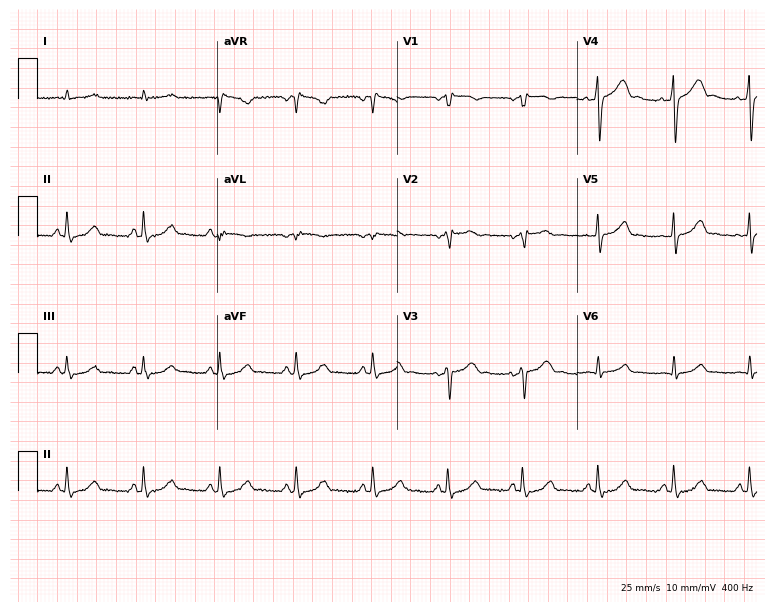
Standard 12-lead ECG recorded from a 63-year-old man (7.3-second recording at 400 Hz). None of these six findings is recorded: first-degree AV block, right bundle branch block, left bundle branch block, sinus bradycardia, atrial fibrillation, sinus tachycardia.